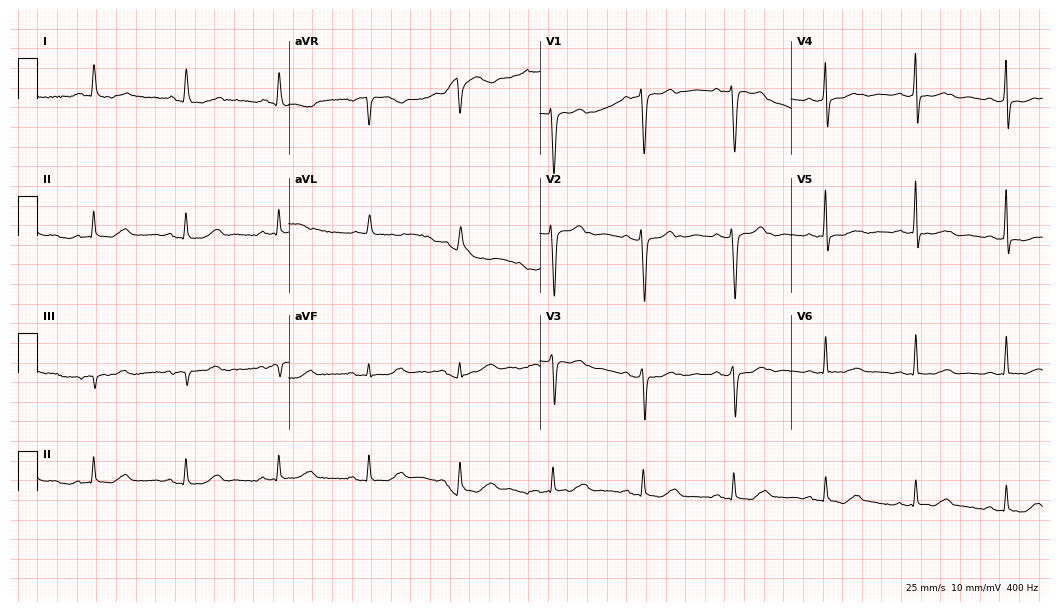
Resting 12-lead electrocardiogram (10.2-second recording at 400 Hz). Patient: a 70-year-old female. Read as a normal ECG.